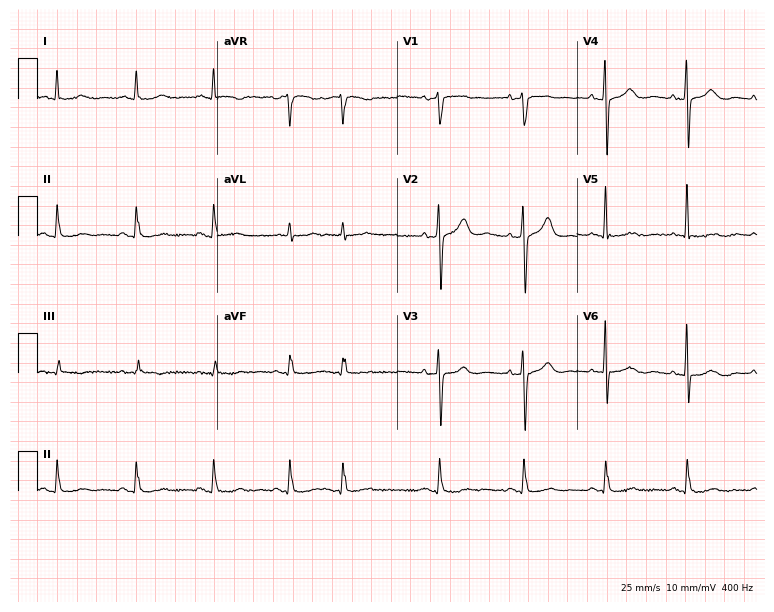
12-lead ECG from a male, 85 years old. Labelled as a normal ECG.